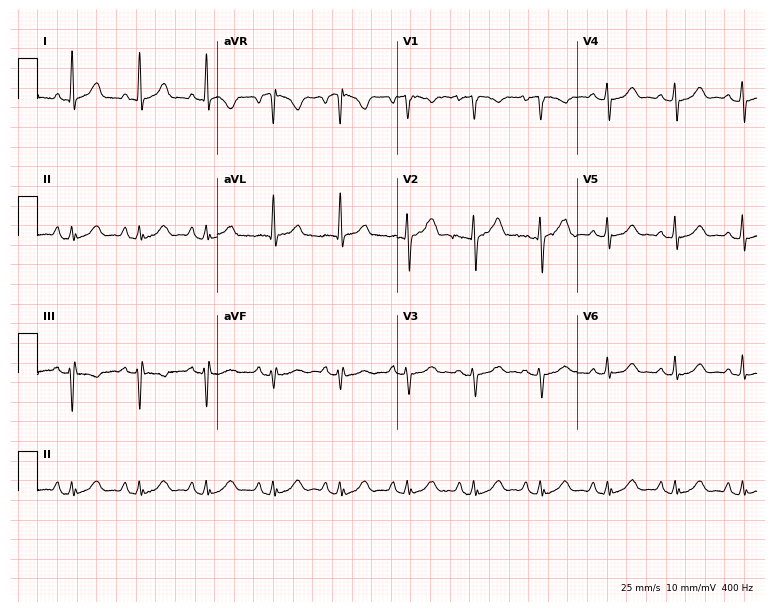
12-lead ECG from a 56-year-old woman (7.3-second recording at 400 Hz). No first-degree AV block, right bundle branch block, left bundle branch block, sinus bradycardia, atrial fibrillation or sinus tachycardia recorded for this tracing. Other findings, if any, are not listed.